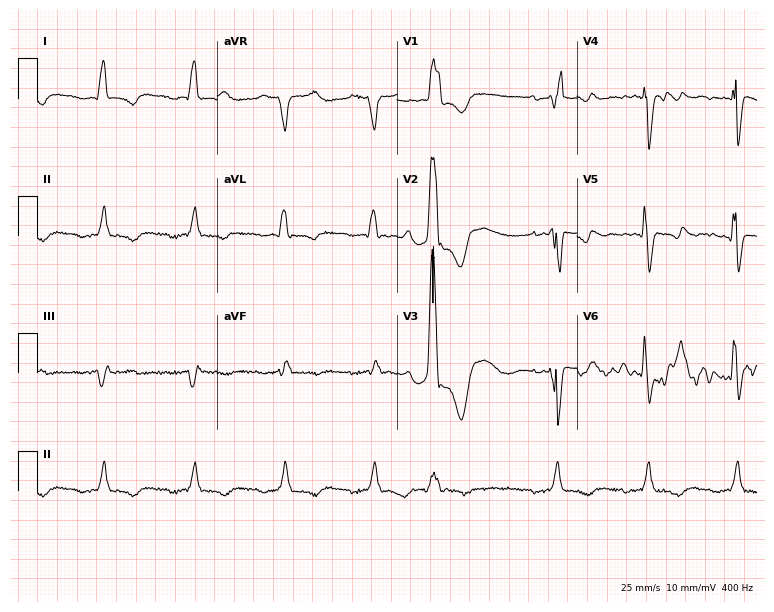
12-lead ECG from a male, 78 years old. No first-degree AV block, right bundle branch block (RBBB), left bundle branch block (LBBB), sinus bradycardia, atrial fibrillation (AF) or sinus tachycardia recorded for this tracing.